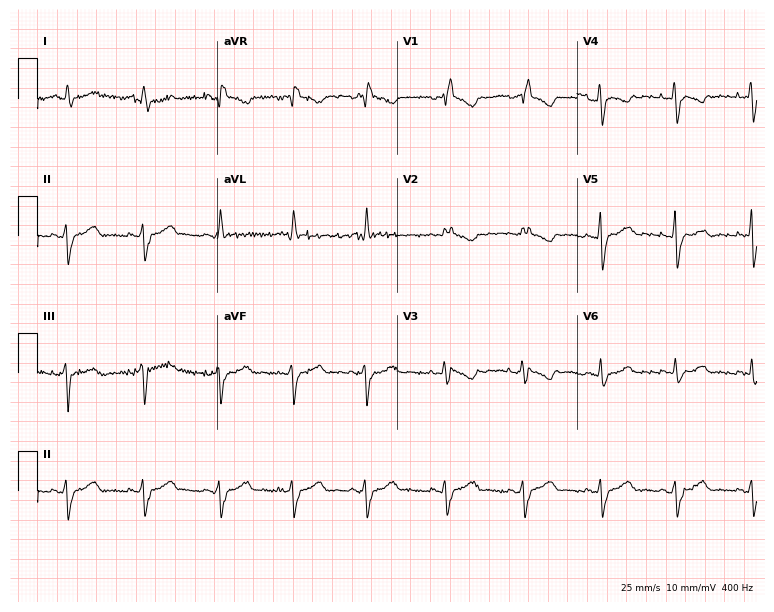
12-lead ECG from a 45-year-old female. Findings include right bundle branch block (RBBB).